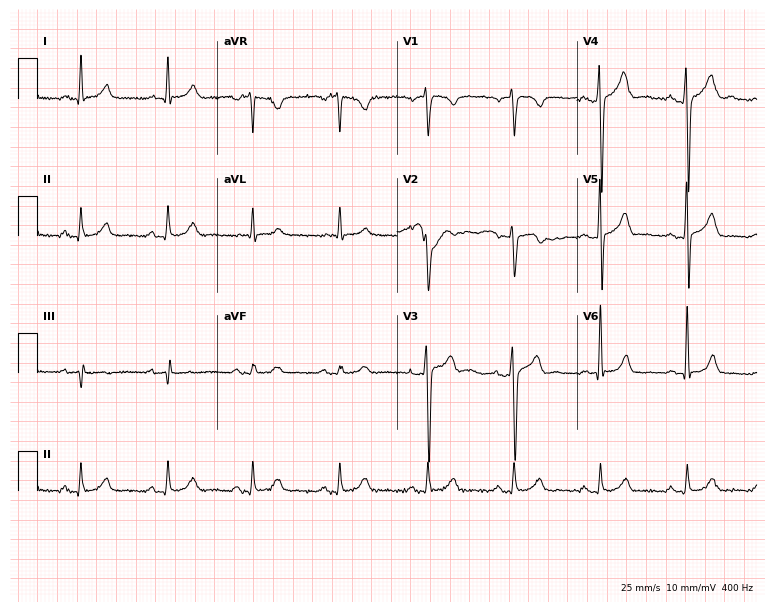
ECG (7.3-second recording at 400 Hz) — a 56-year-old male. Labelled as a normal ECG.